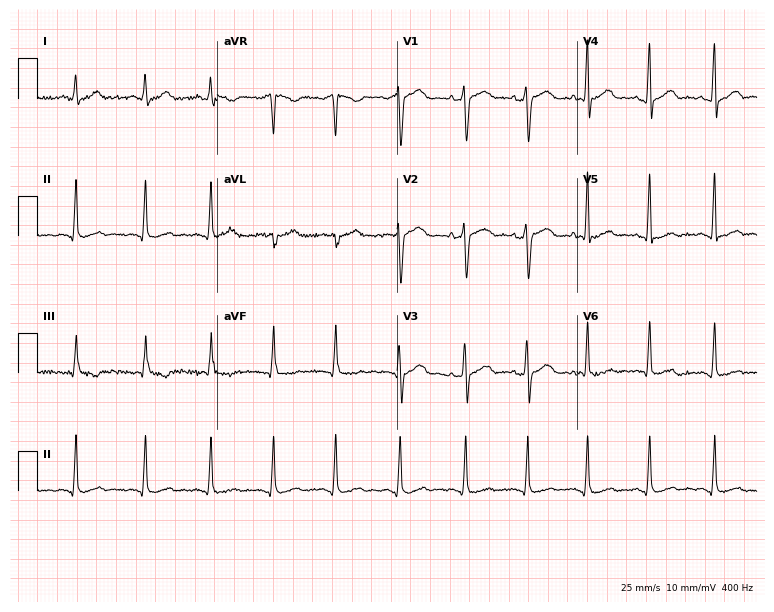
12-lead ECG from a 34-year-old woman (7.3-second recording at 400 Hz). No first-degree AV block, right bundle branch block, left bundle branch block, sinus bradycardia, atrial fibrillation or sinus tachycardia recorded for this tracing.